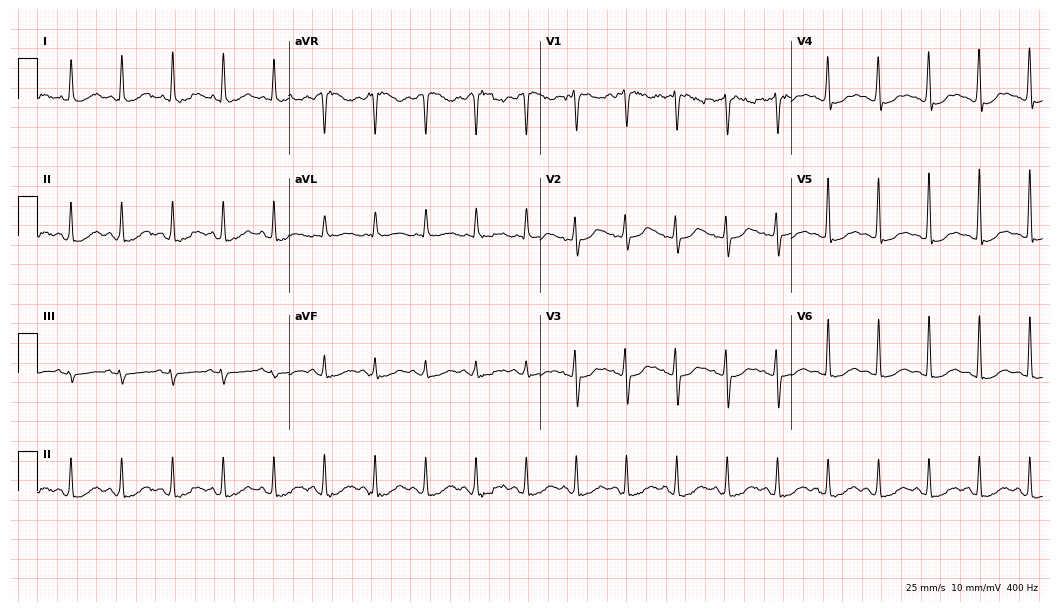
12-lead ECG (10.2-second recording at 400 Hz) from a male, 29 years old. Findings include sinus tachycardia (a sinus rate of 100 beats per minute or more).